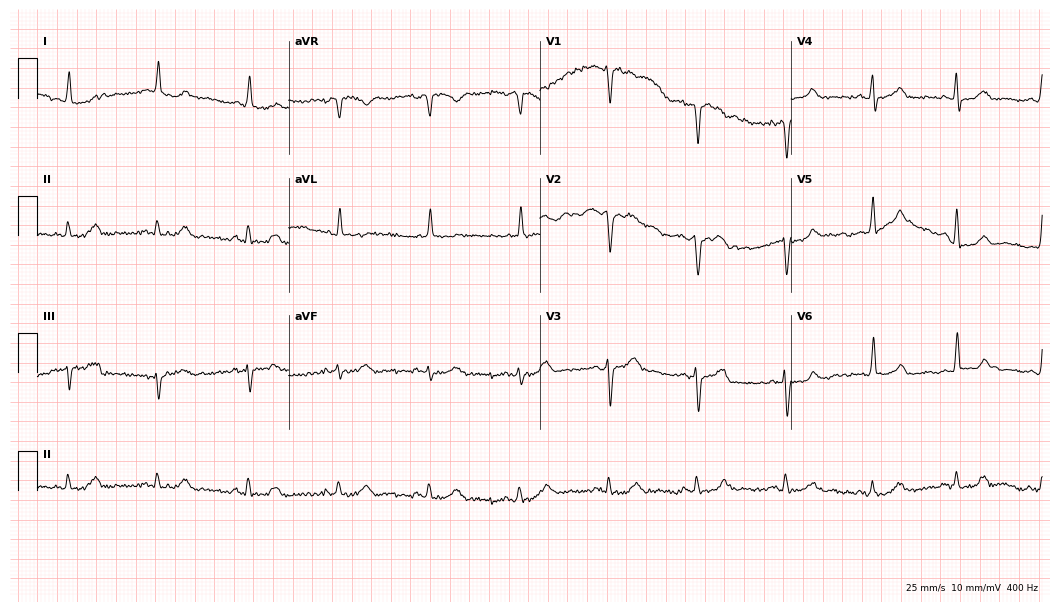
ECG — a man, 81 years old. Labelled as a normal ECG.